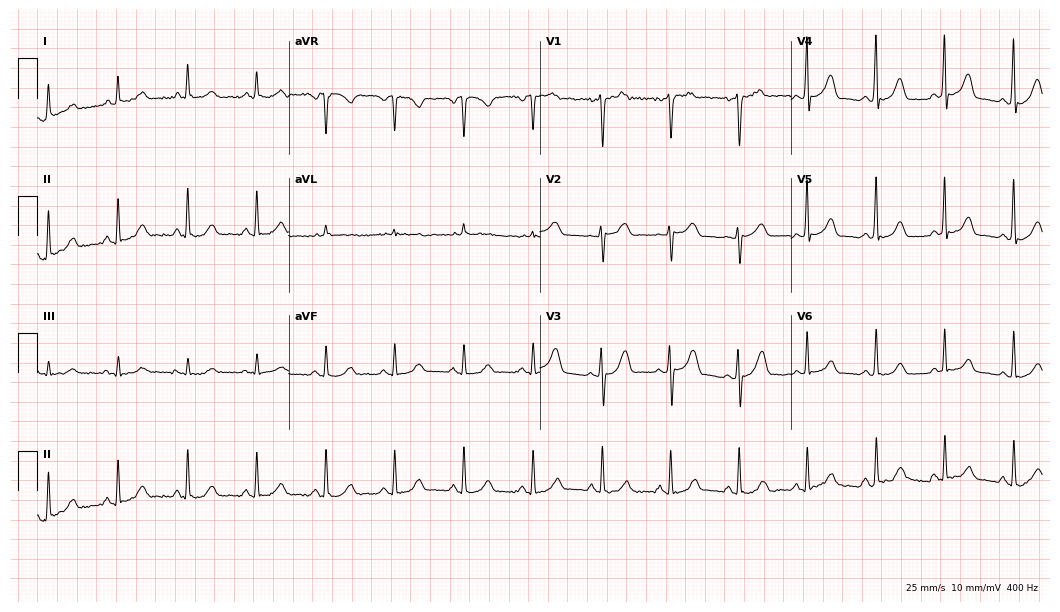
Standard 12-lead ECG recorded from a 52-year-old female patient (10.2-second recording at 400 Hz). Read as a normal ECG.